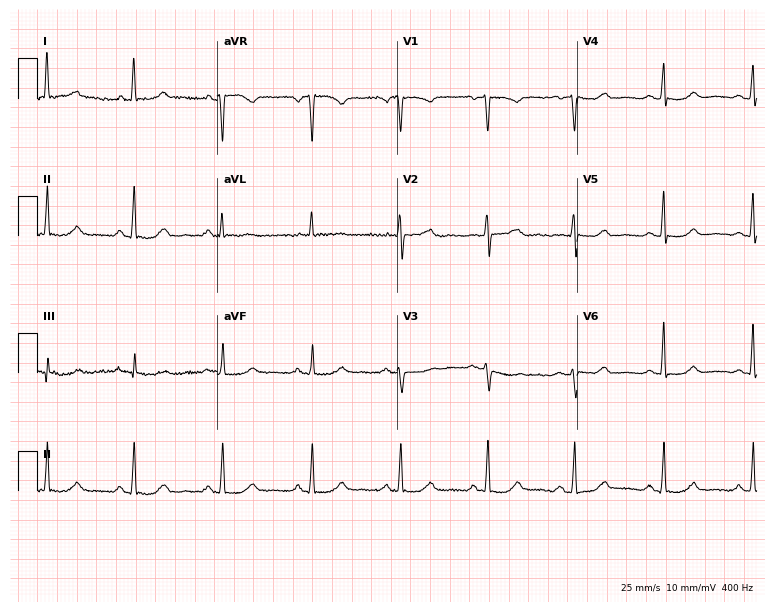
12-lead ECG (7.3-second recording at 400 Hz) from a 77-year-old female patient. Screened for six findings — first-degree AV block, right bundle branch block, left bundle branch block, sinus bradycardia, atrial fibrillation, sinus tachycardia — none is recorded.